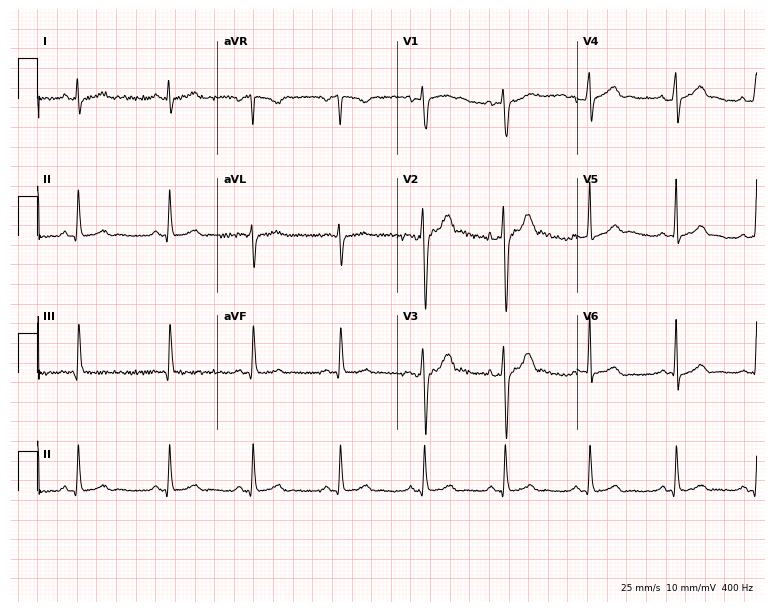
Electrocardiogram, a 25-year-old man. Overall reading on record: normal ECG.